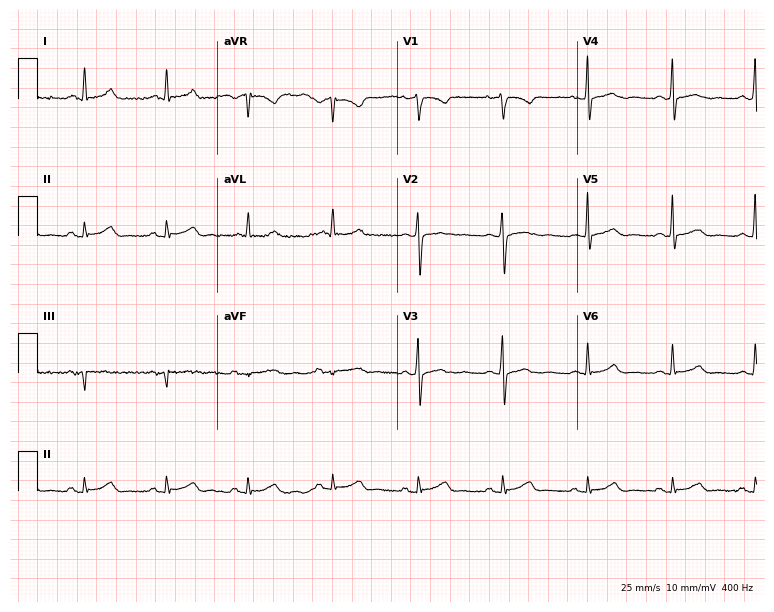
Electrocardiogram (7.3-second recording at 400 Hz), a 61-year-old female patient. Of the six screened findings (first-degree AV block, right bundle branch block (RBBB), left bundle branch block (LBBB), sinus bradycardia, atrial fibrillation (AF), sinus tachycardia), none is recorded. Other findings, if any, are not listed.